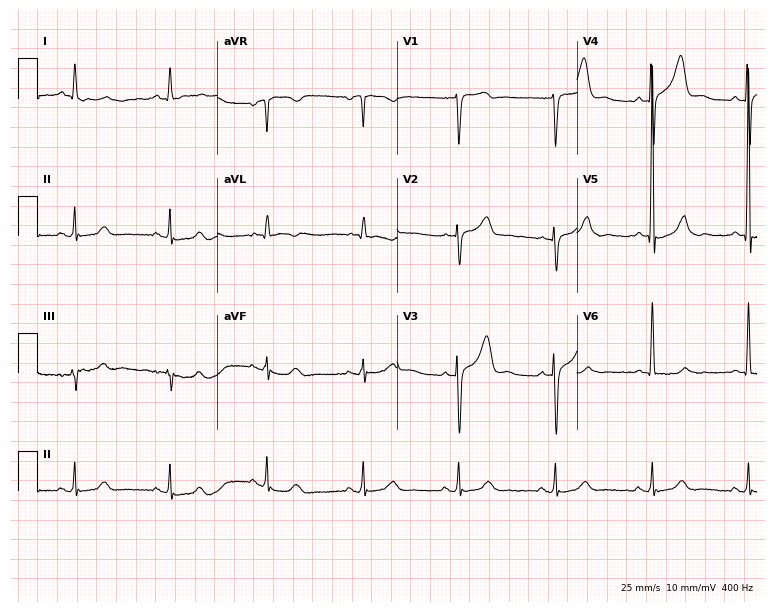
Resting 12-lead electrocardiogram. Patient: an 82-year-old male. Read as a normal ECG.